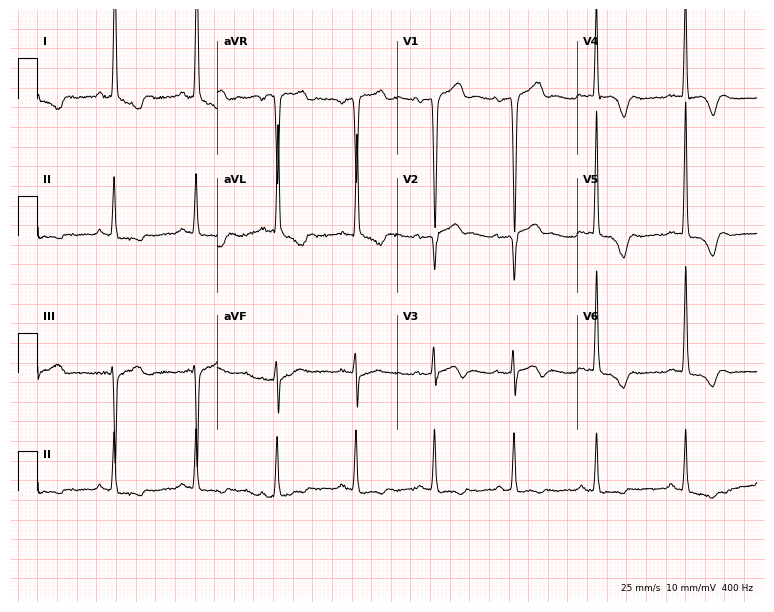
Standard 12-lead ECG recorded from a 79-year-old woman (7.3-second recording at 400 Hz). None of these six findings is recorded: first-degree AV block, right bundle branch block, left bundle branch block, sinus bradycardia, atrial fibrillation, sinus tachycardia.